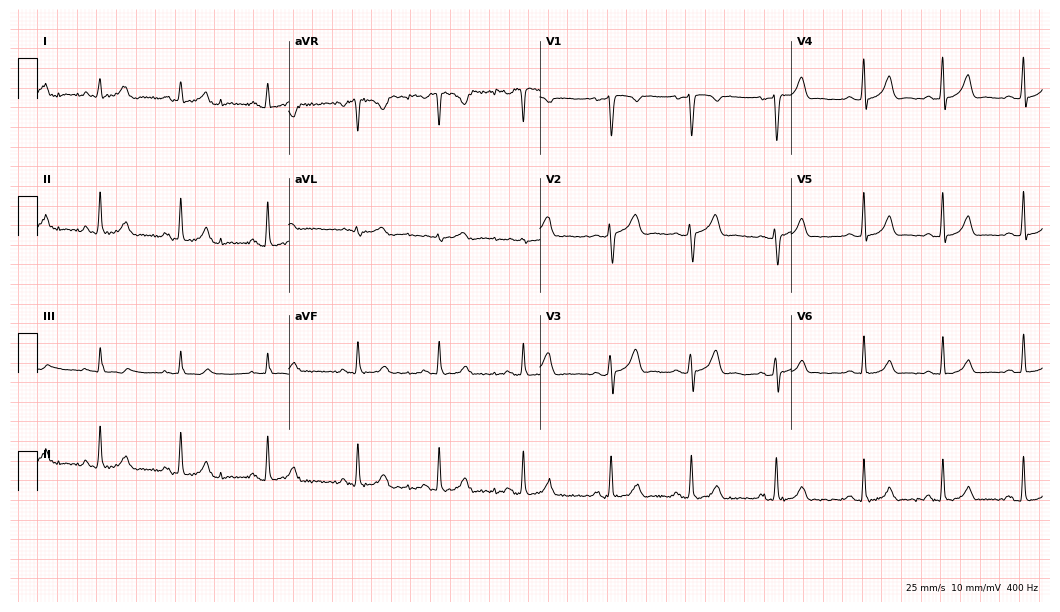
Resting 12-lead electrocardiogram (10.2-second recording at 400 Hz). Patient: a woman, 20 years old. Read as a normal ECG.